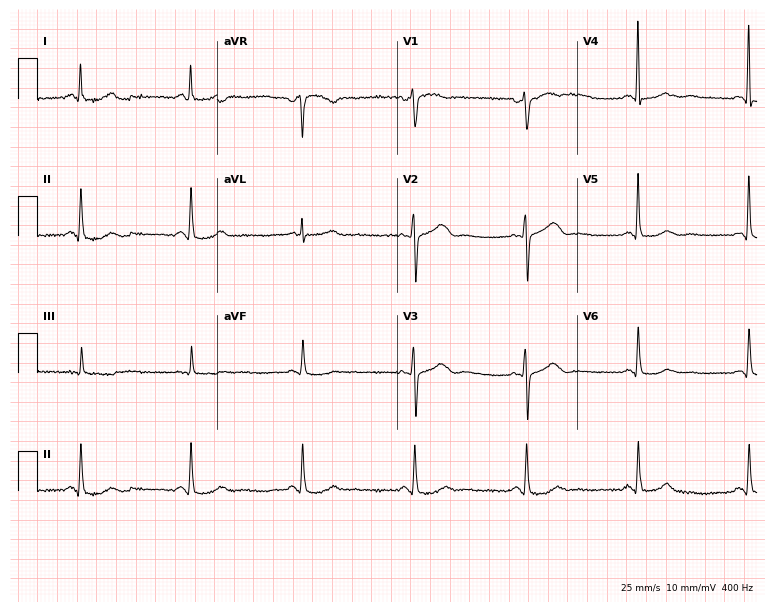
ECG (7.3-second recording at 400 Hz) — a 58-year-old female patient. Labelled as a normal ECG.